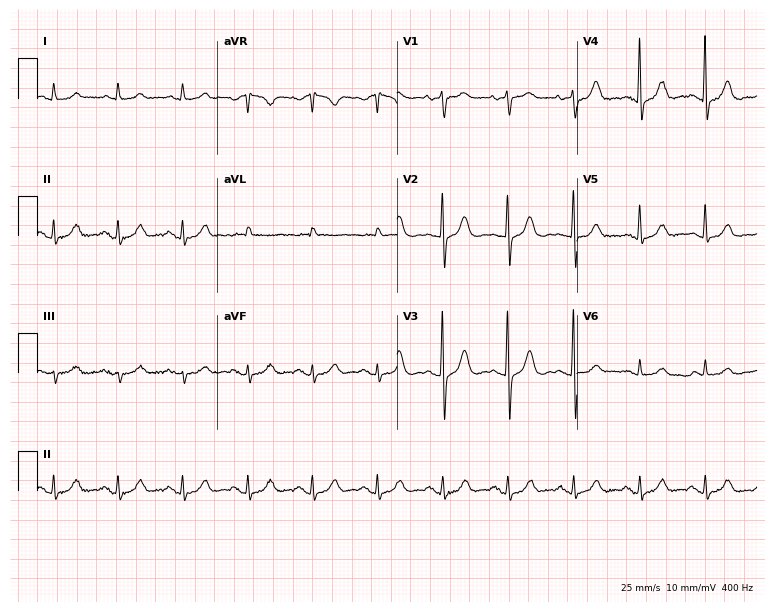
12-lead ECG from a 72-year-old woman. Recorded interpretation: within normal limits.